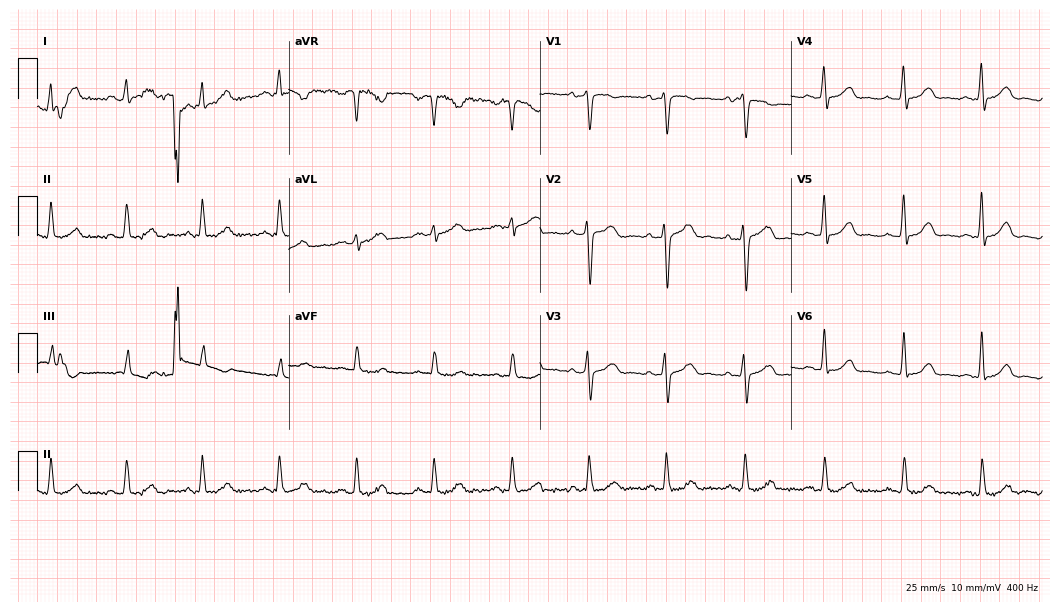
ECG (10.2-second recording at 400 Hz) — a female patient, 45 years old. Labelled as a normal ECG.